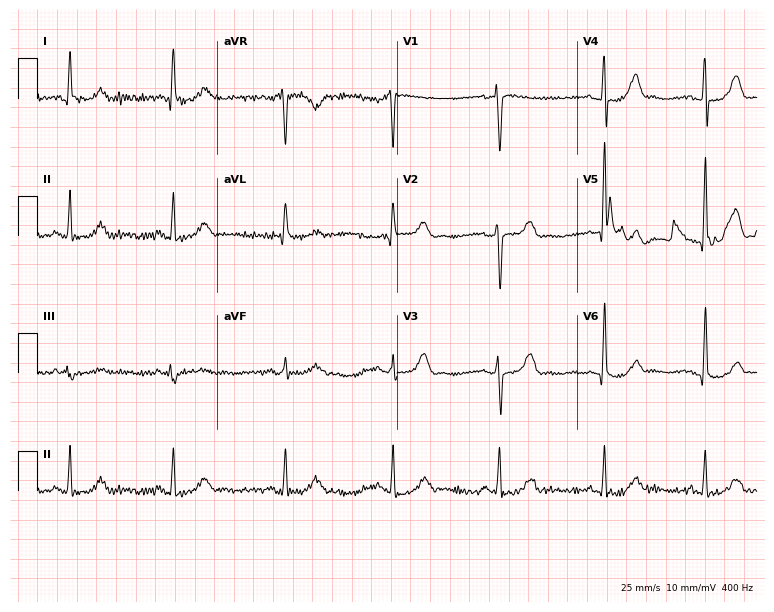
ECG — a female patient, 33 years old. Labelled as a normal ECG.